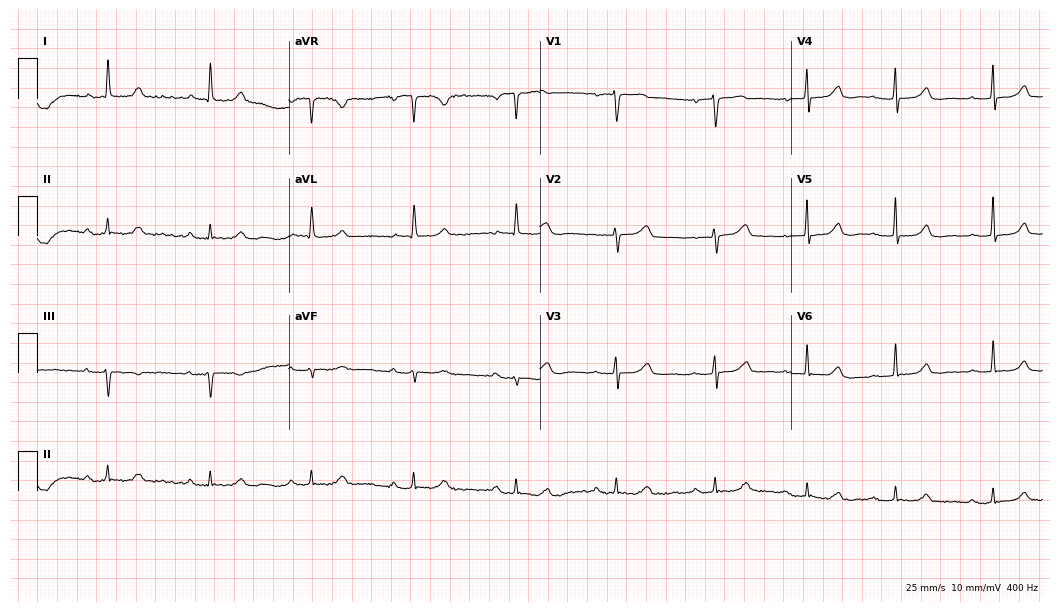
12-lead ECG from a 76-year-old woman. Screened for six findings — first-degree AV block, right bundle branch block, left bundle branch block, sinus bradycardia, atrial fibrillation, sinus tachycardia — none is recorded.